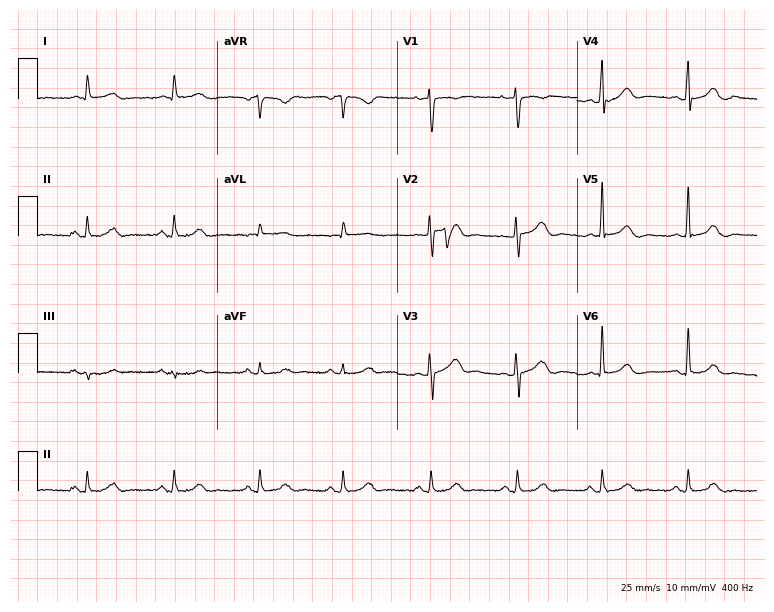
Standard 12-lead ECG recorded from a woman, 47 years old (7.3-second recording at 400 Hz). Read as a normal ECG.